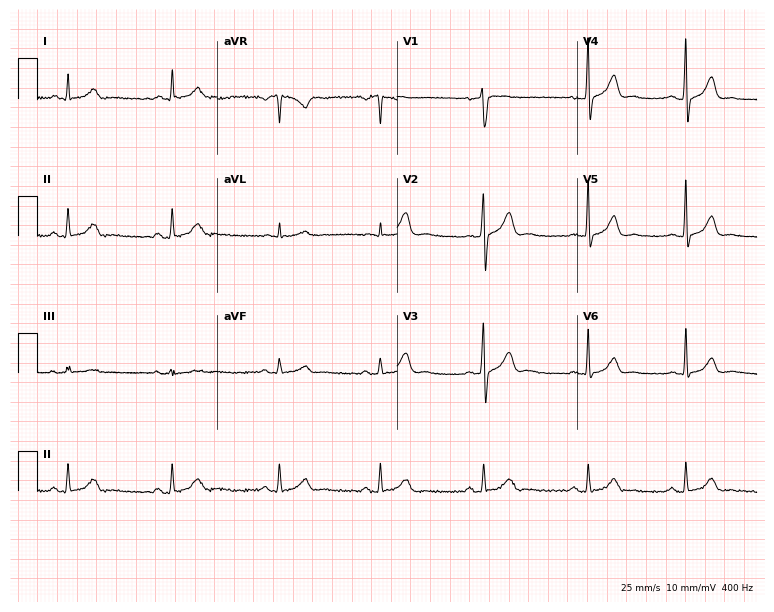
Electrocardiogram (7.3-second recording at 400 Hz), a male patient, 34 years old. Overall reading on record: normal ECG.